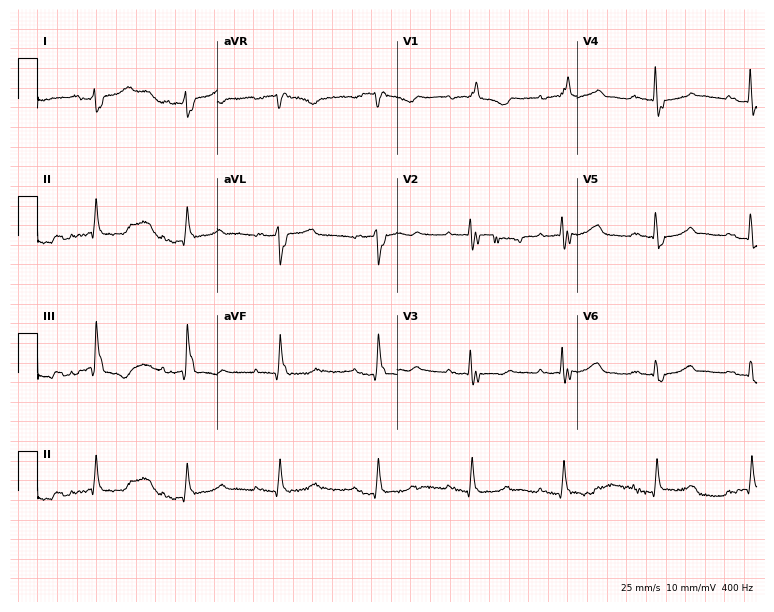
Resting 12-lead electrocardiogram (7.3-second recording at 400 Hz). Patient: a female, 60 years old. None of these six findings is recorded: first-degree AV block, right bundle branch block, left bundle branch block, sinus bradycardia, atrial fibrillation, sinus tachycardia.